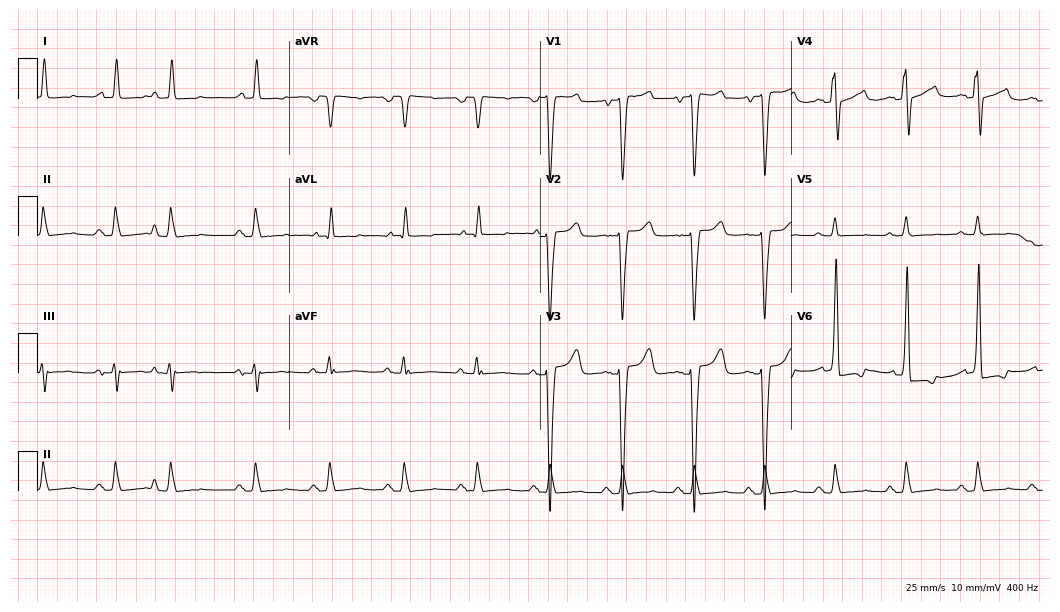
Electrocardiogram, a 52-year-old male. Of the six screened findings (first-degree AV block, right bundle branch block, left bundle branch block, sinus bradycardia, atrial fibrillation, sinus tachycardia), none is recorded.